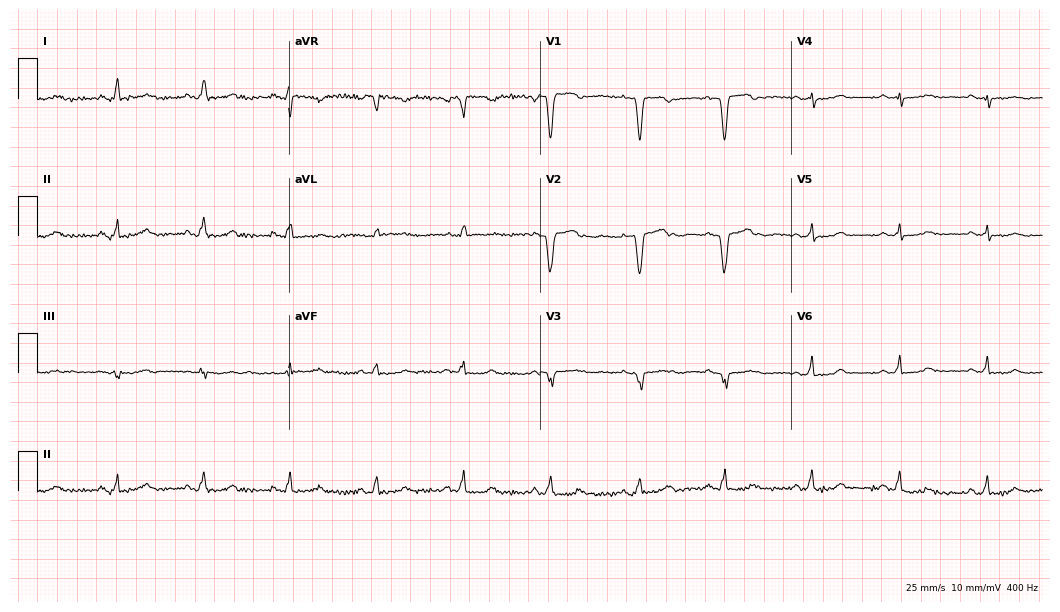
Electrocardiogram (10.2-second recording at 400 Hz), a 59-year-old woman. Of the six screened findings (first-degree AV block, right bundle branch block (RBBB), left bundle branch block (LBBB), sinus bradycardia, atrial fibrillation (AF), sinus tachycardia), none is recorded.